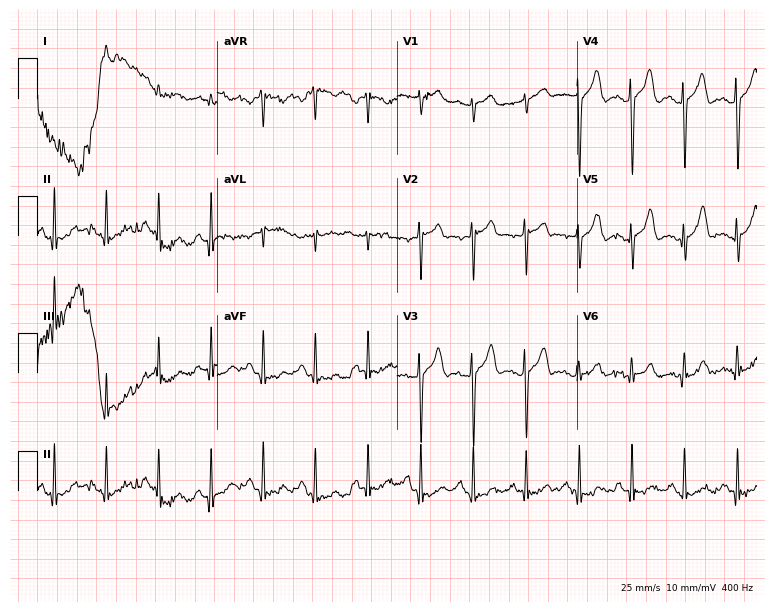
Electrocardiogram, a 59-year-old man. Of the six screened findings (first-degree AV block, right bundle branch block, left bundle branch block, sinus bradycardia, atrial fibrillation, sinus tachycardia), none is recorded.